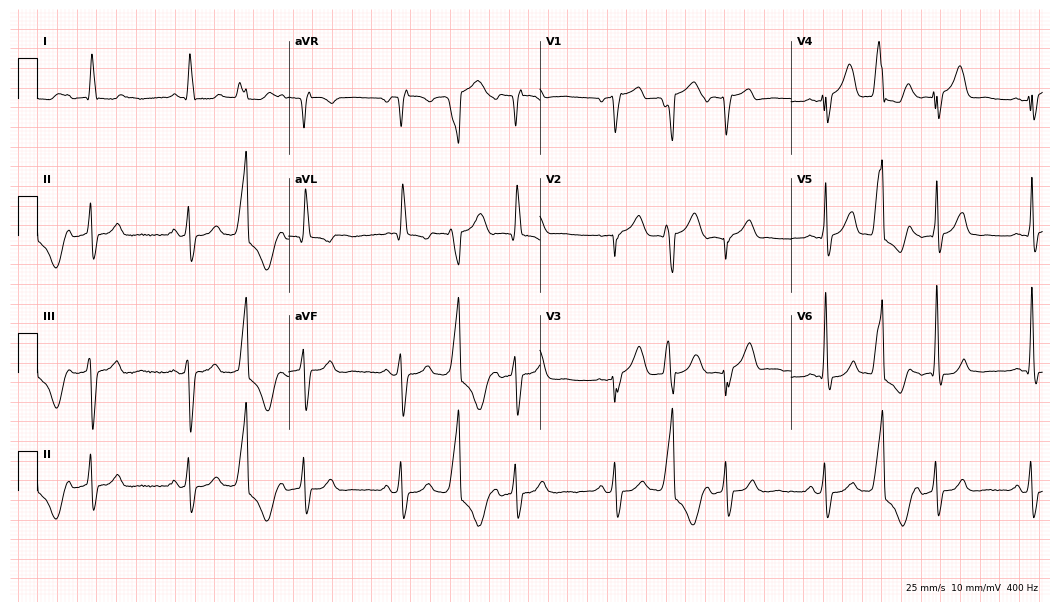
Standard 12-lead ECG recorded from a 69-year-old man. The tracing shows left bundle branch block (LBBB).